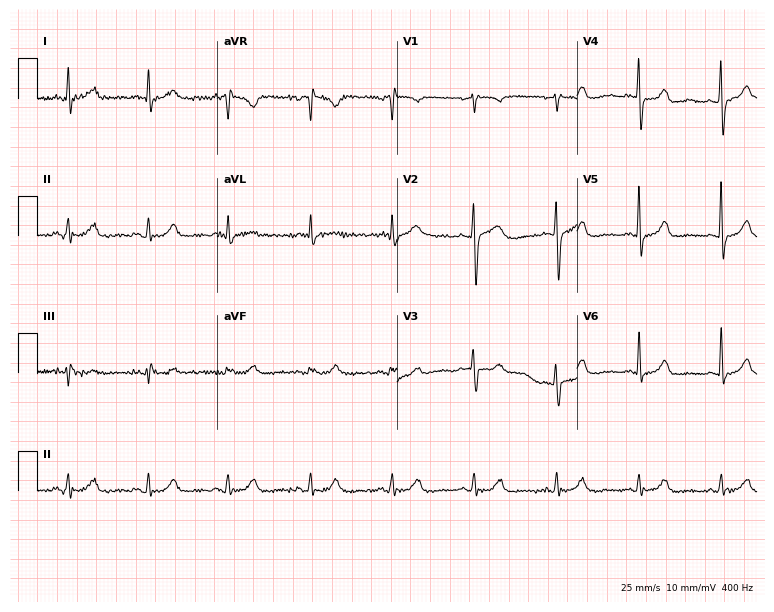
Electrocardiogram, a 68-year-old female patient. Overall reading on record: normal ECG.